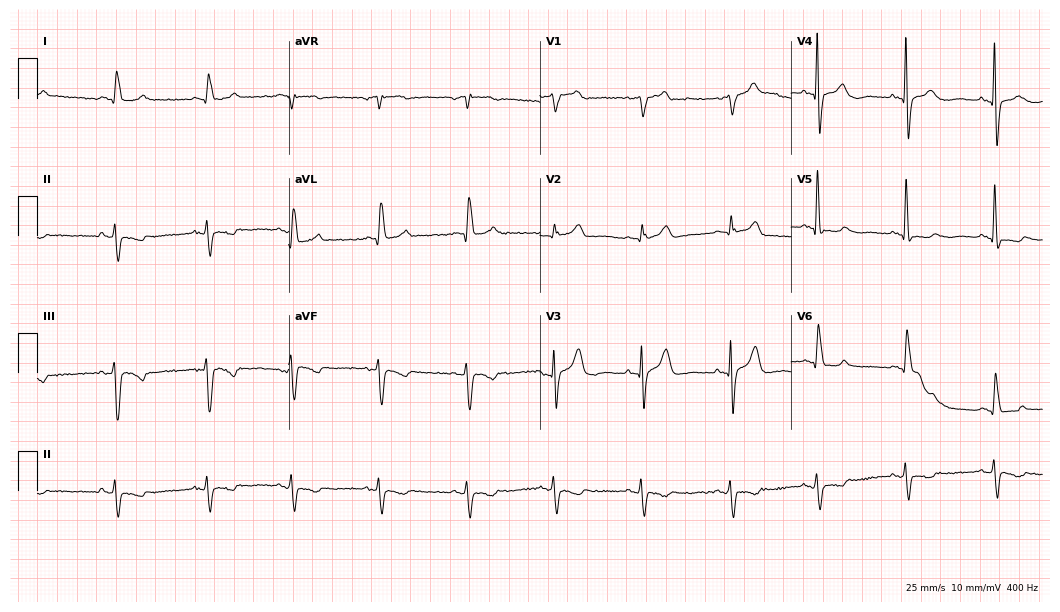
12-lead ECG from a man, 85 years old (10.2-second recording at 400 Hz). No first-degree AV block, right bundle branch block (RBBB), left bundle branch block (LBBB), sinus bradycardia, atrial fibrillation (AF) or sinus tachycardia recorded for this tracing. Findings outside these six are not listed.